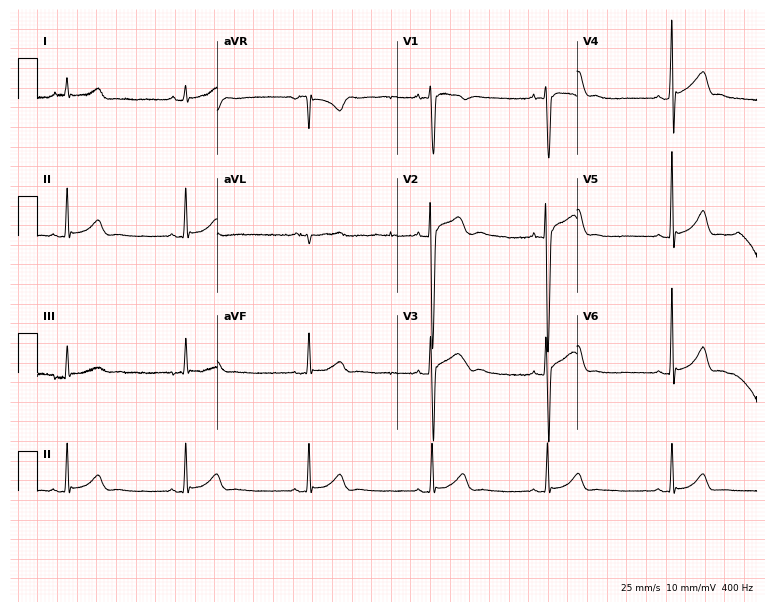
12-lead ECG from a 17-year-old man. Shows sinus bradycardia (a sinus rate of 50 beats per minute or less).